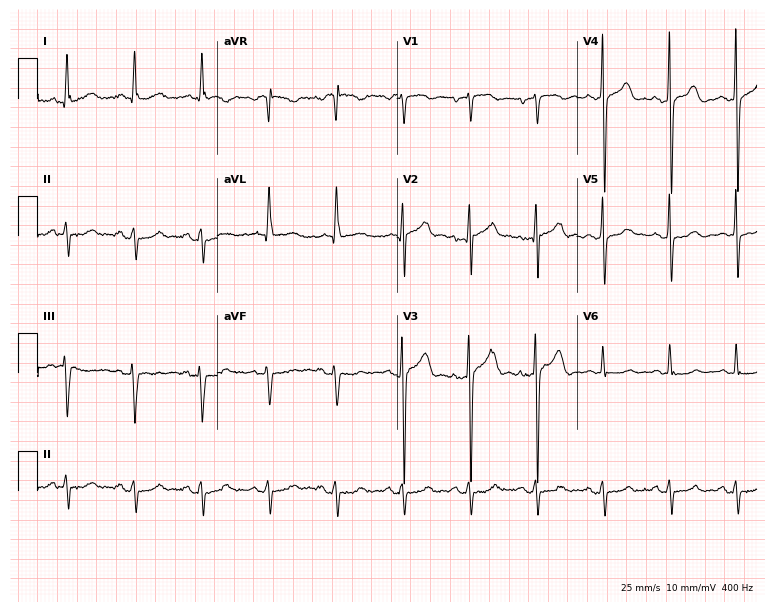
Resting 12-lead electrocardiogram (7.3-second recording at 400 Hz). Patient: a male, 76 years old. None of these six findings is recorded: first-degree AV block, right bundle branch block (RBBB), left bundle branch block (LBBB), sinus bradycardia, atrial fibrillation (AF), sinus tachycardia. Other findings, if any, are not listed.